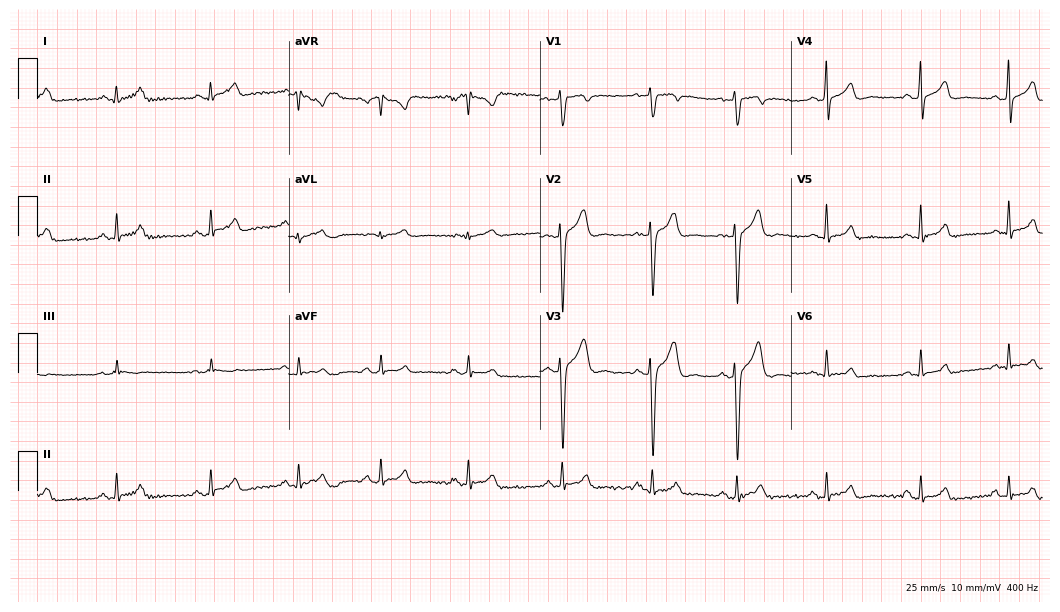
Resting 12-lead electrocardiogram (10.2-second recording at 400 Hz). Patient: a 29-year-old man. Read as a normal ECG.